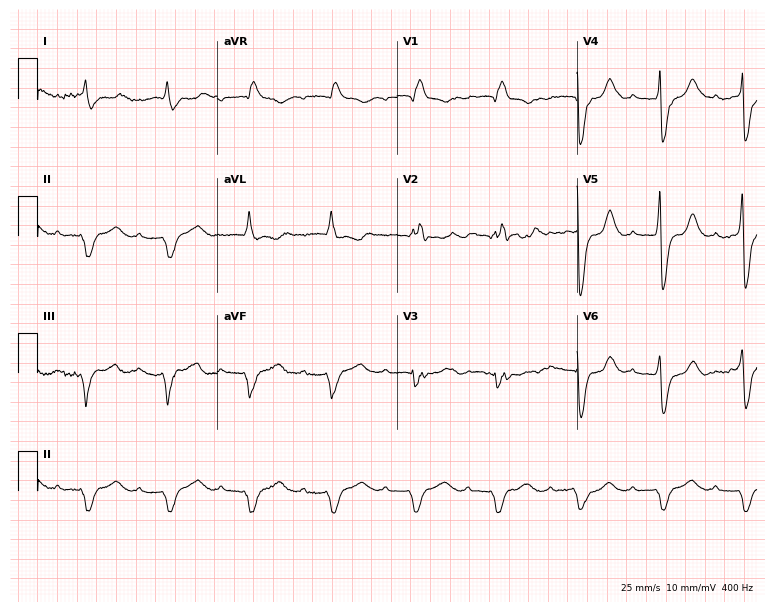
Resting 12-lead electrocardiogram (7.3-second recording at 400 Hz). Patient: a male, 85 years old. The tracing shows first-degree AV block, right bundle branch block.